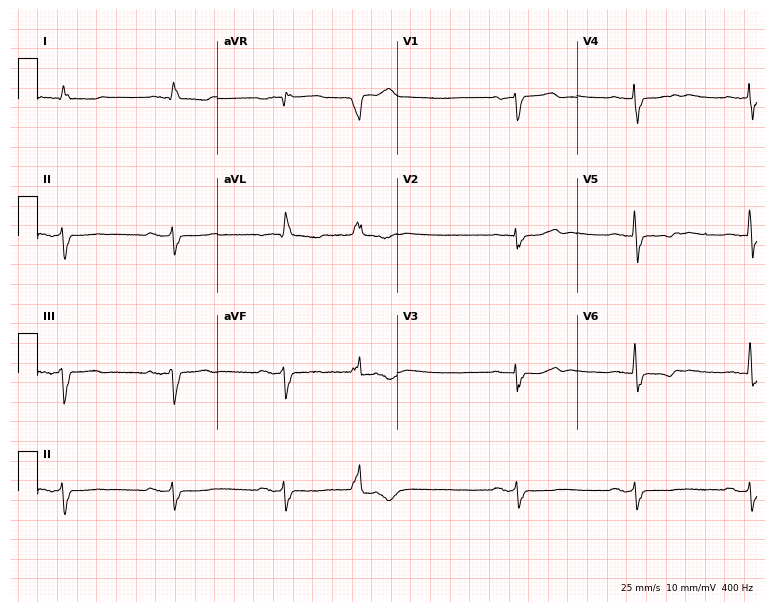
12-lead ECG from a 75-year-old male (7.3-second recording at 400 Hz). Shows atrial fibrillation.